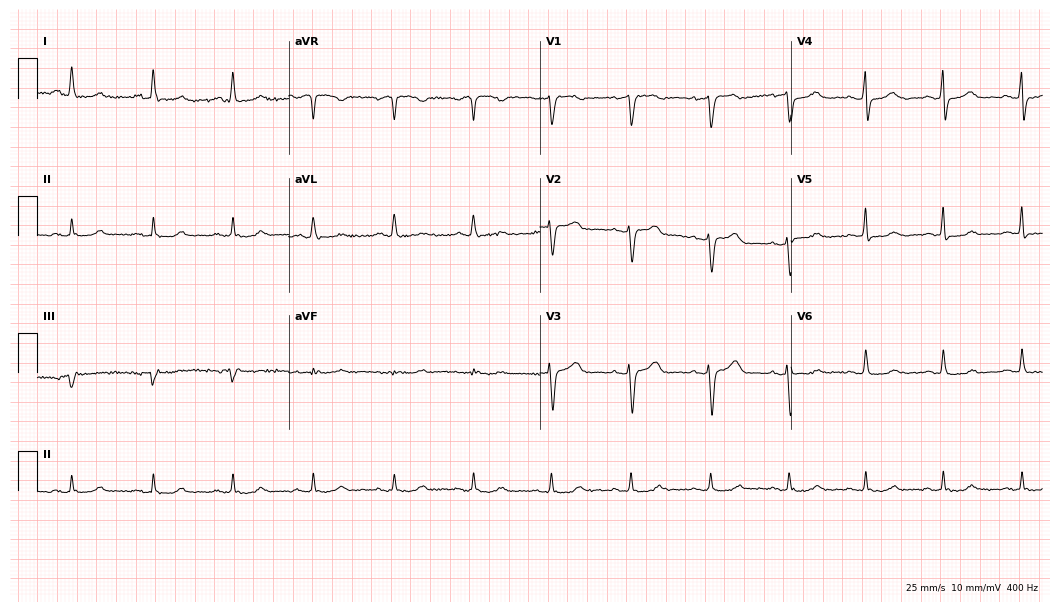
ECG — a female patient, 59 years old. Labelled as a normal ECG.